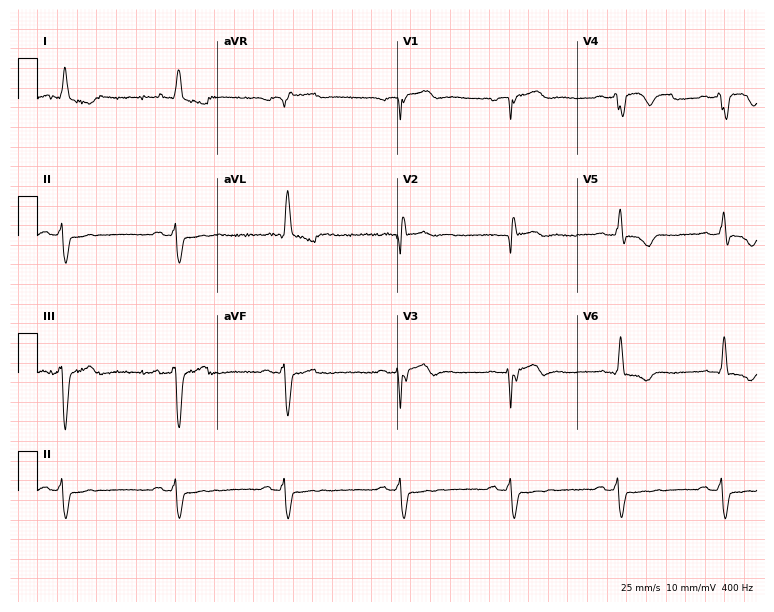
12-lead ECG from an 81-year-old male patient. Findings include right bundle branch block.